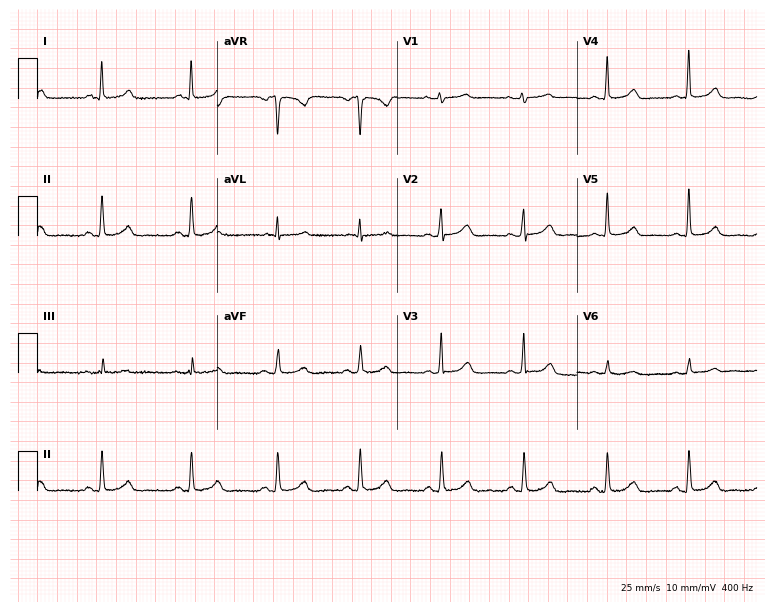
Standard 12-lead ECG recorded from a female patient, 48 years old. Read as a normal ECG.